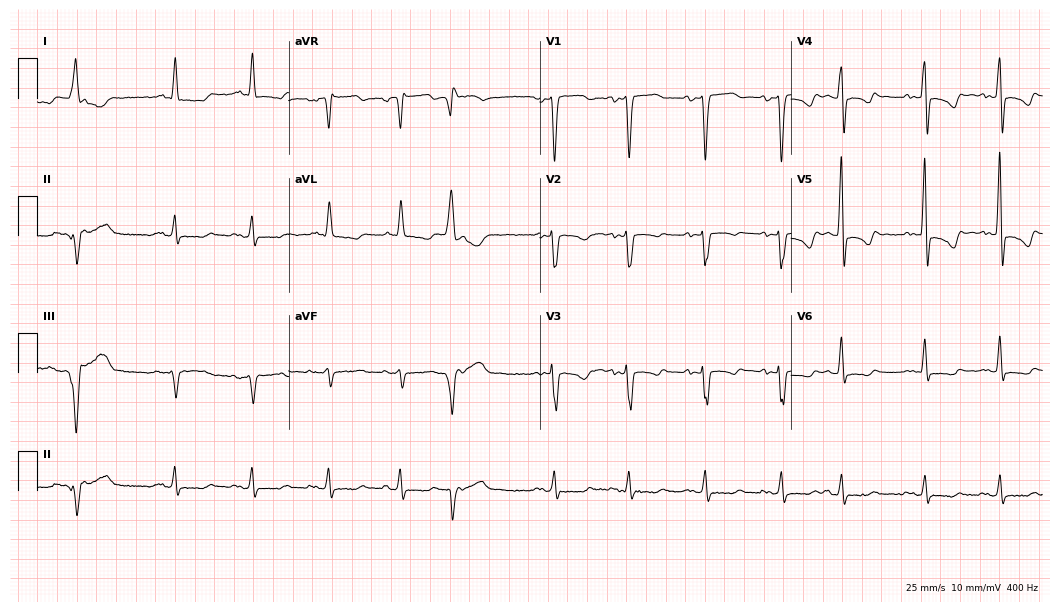
Standard 12-lead ECG recorded from a female patient, 71 years old (10.2-second recording at 400 Hz). None of these six findings is recorded: first-degree AV block, right bundle branch block, left bundle branch block, sinus bradycardia, atrial fibrillation, sinus tachycardia.